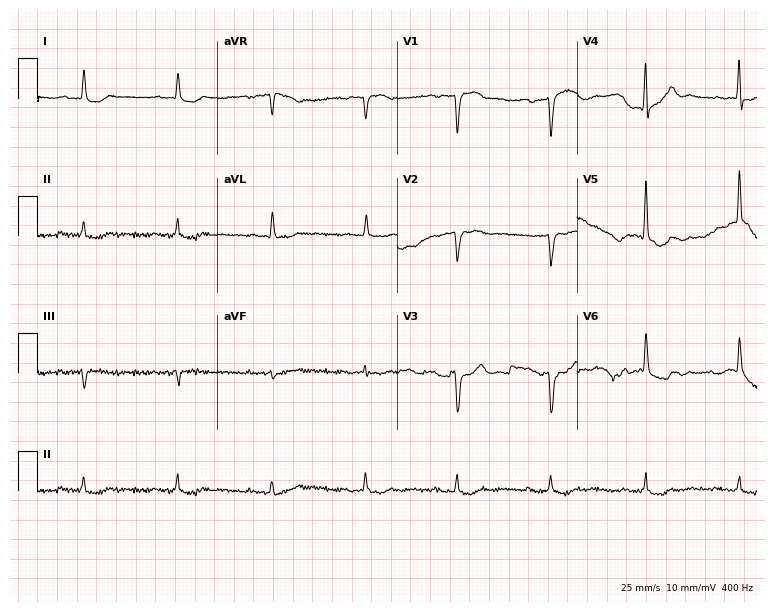
Resting 12-lead electrocardiogram (7.3-second recording at 400 Hz). Patient: an 81-year-old male. None of these six findings is recorded: first-degree AV block, right bundle branch block, left bundle branch block, sinus bradycardia, atrial fibrillation, sinus tachycardia. Other findings, if any, are not listed.